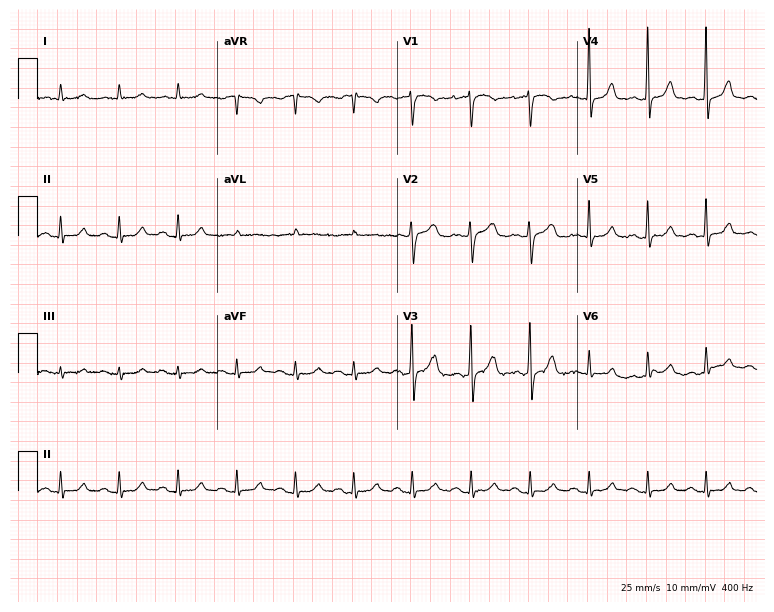
Electrocardiogram, a 69-year-old female patient. Overall reading on record: normal ECG.